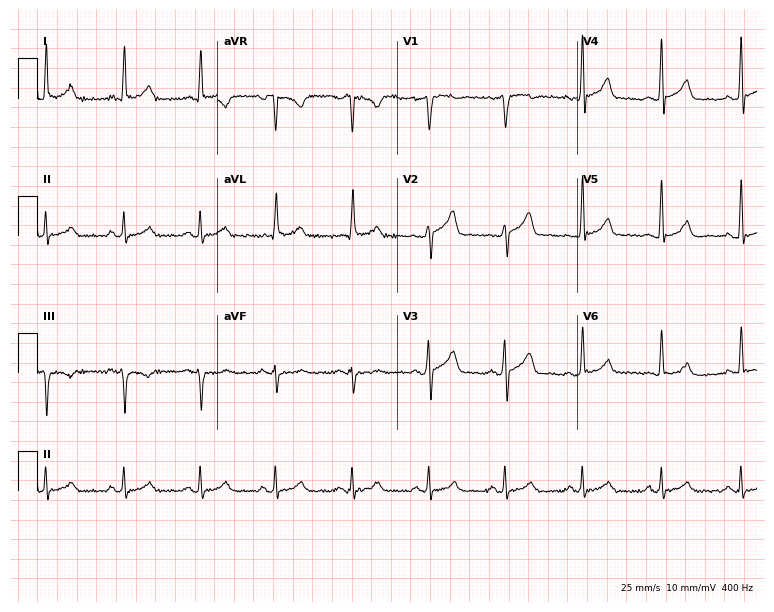
Standard 12-lead ECG recorded from a 45-year-old man. Read as a normal ECG.